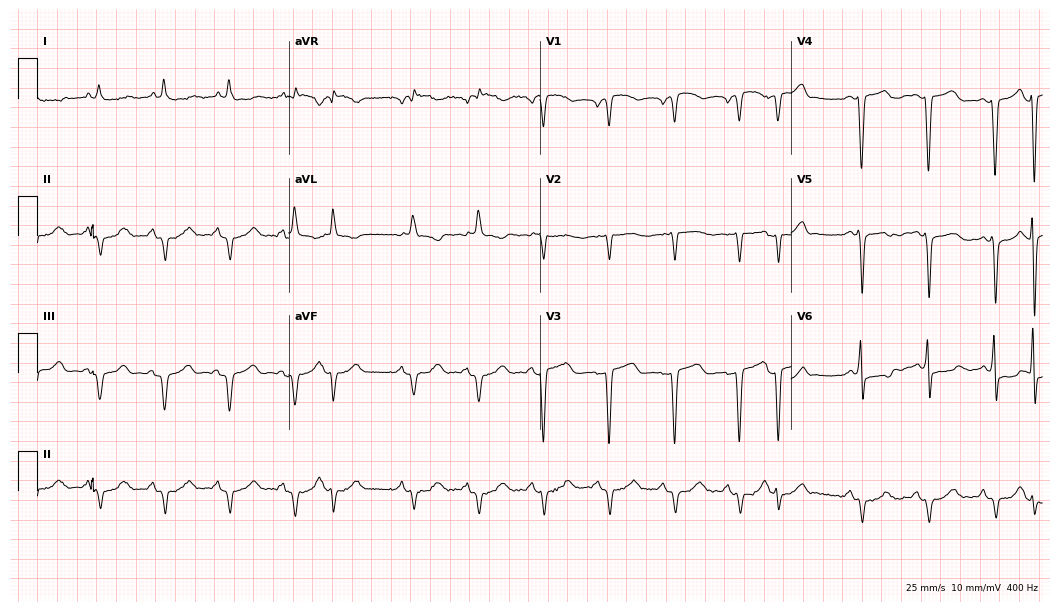
Standard 12-lead ECG recorded from a female, 83 years old (10.2-second recording at 400 Hz). None of these six findings is recorded: first-degree AV block, right bundle branch block, left bundle branch block, sinus bradycardia, atrial fibrillation, sinus tachycardia.